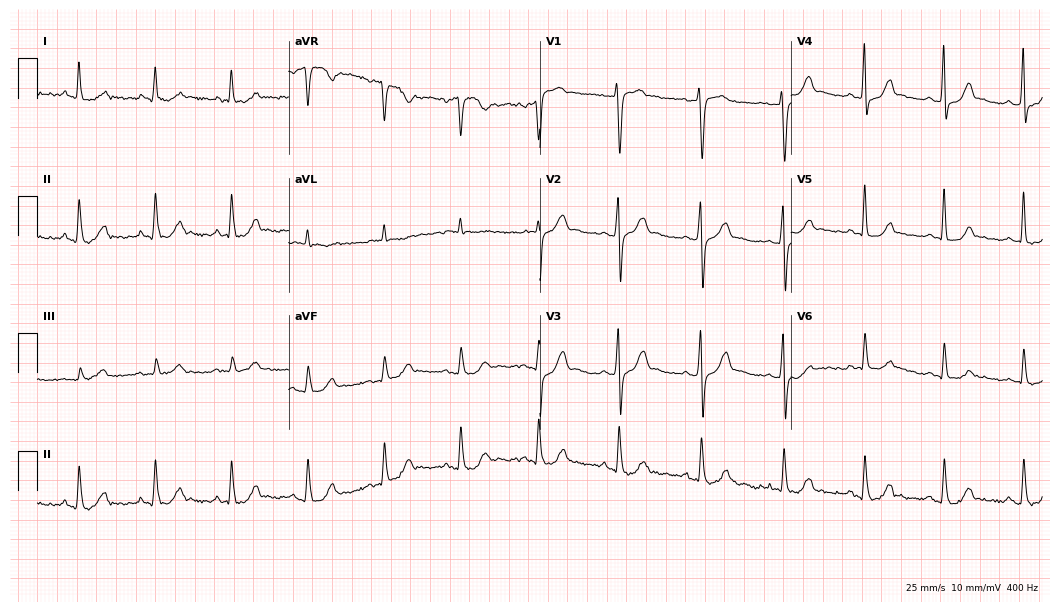
Electrocardiogram, a 59-year-old male. Of the six screened findings (first-degree AV block, right bundle branch block, left bundle branch block, sinus bradycardia, atrial fibrillation, sinus tachycardia), none is recorded.